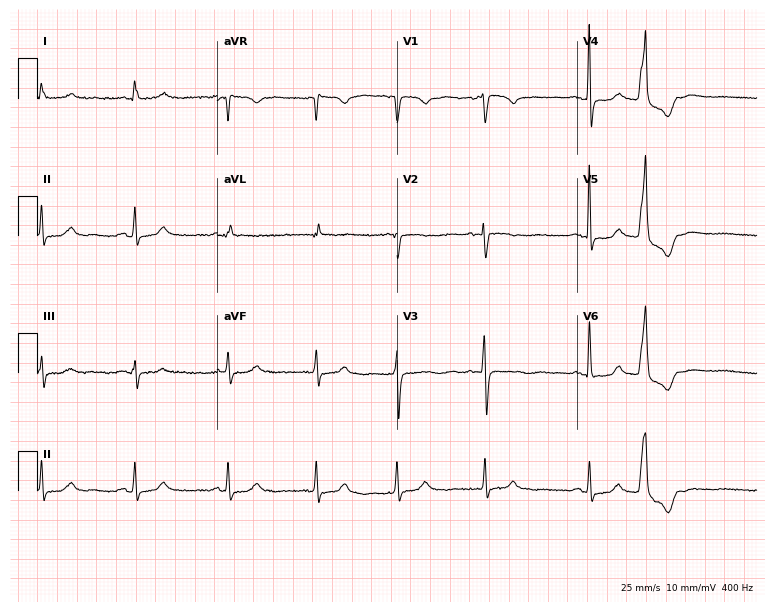
Electrocardiogram (7.3-second recording at 400 Hz), a 66-year-old woman. Of the six screened findings (first-degree AV block, right bundle branch block, left bundle branch block, sinus bradycardia, atrial fibrillation, sinus tachycardia), none is recorded. Findings outside these six are not listed.